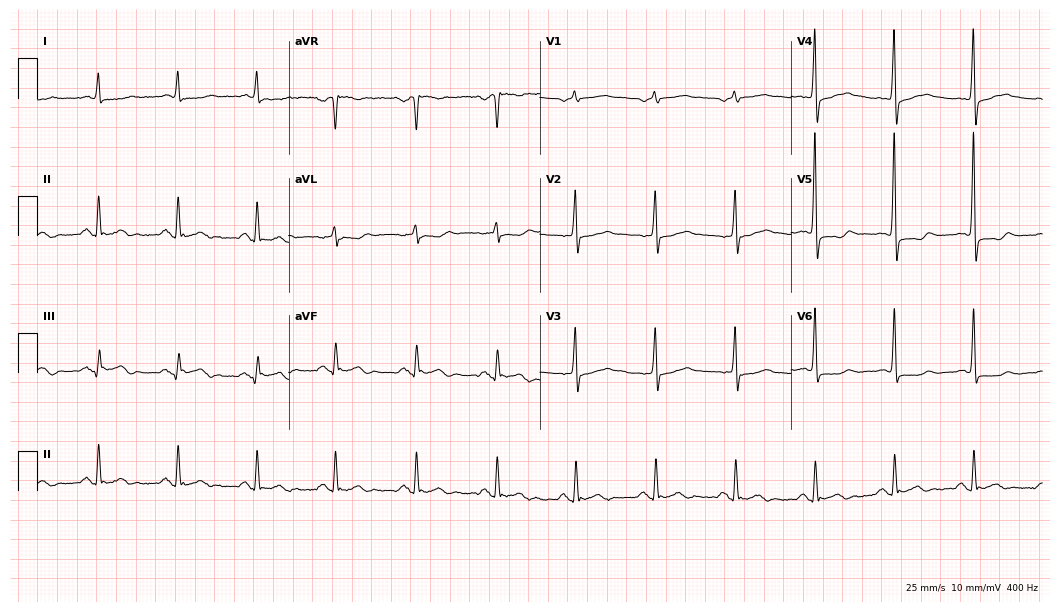
Resting 12-lead electrocardiogram. Patient: a 73-year-old female. None of these six findings is recorded: first-degree AV block, right bundle branch block, left bundle branch block, sinus bradycardia, atrial fibrillation, sinus tachycardia. Findings outside these six are not listed.